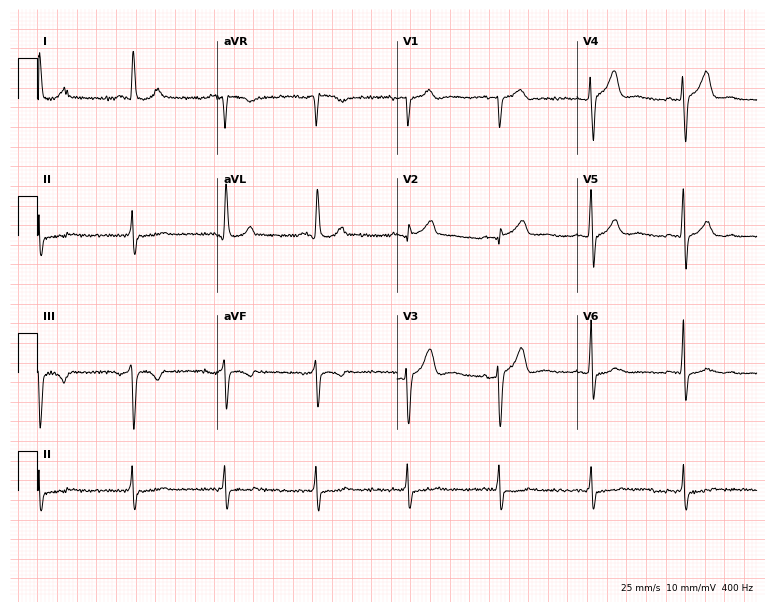
Standard 12-lead ECG recorded from a 71-year-old female (7.3-second recording at 400 Hz). None of these six findings is recorded: first-degree AV block, right bundle branch block, left bundle branch block, sinus bradycardia, atrial fibrillation, sinus tachycardia. Only these six findings were labelled.